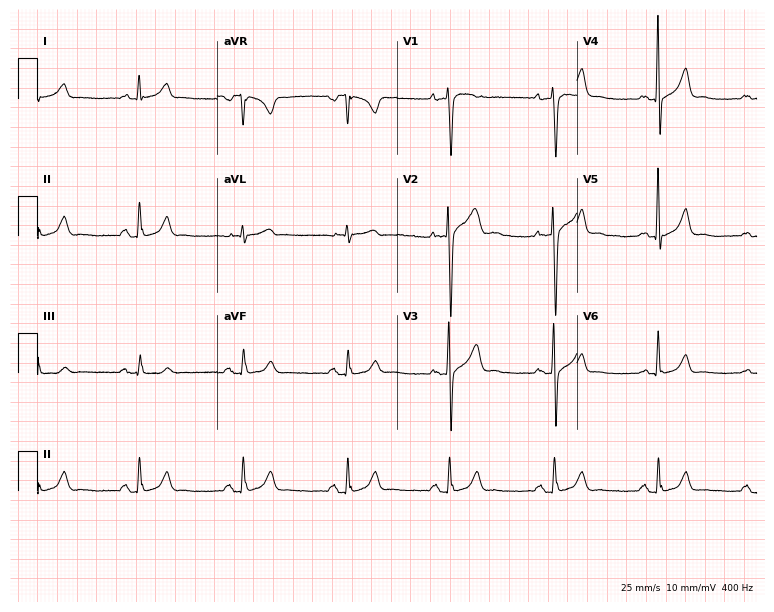
12-lead ECG from a 57-year-old male patient. Recorded interpretation: within normal limits.